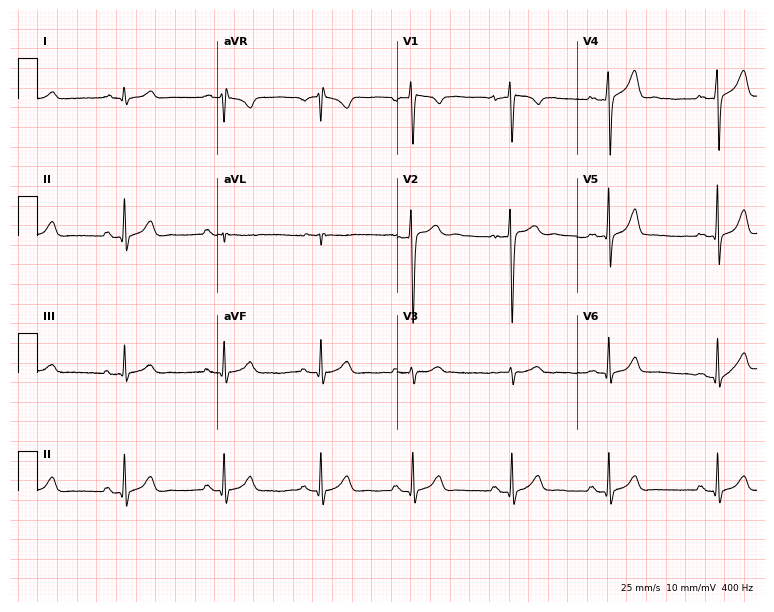
12-lead ECG (7.3-second recording at 400 Hz) from a man, 18 years old. Screened for six findings — first-degree AV block, right bundle branch block, left bundle branch block, sinus bradycardia, atrial fibrillation, sinus tachycardia — none is recorded.